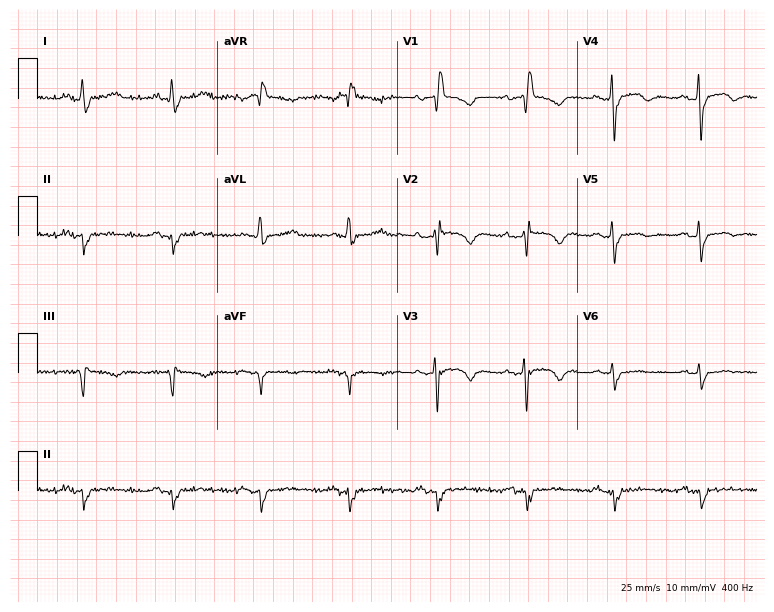
Resting 12-lead electrocardiogram (7.3-second recording at 400 Hz). Patient: a woman, 49 years old. The tracing shows right bundle branch block.